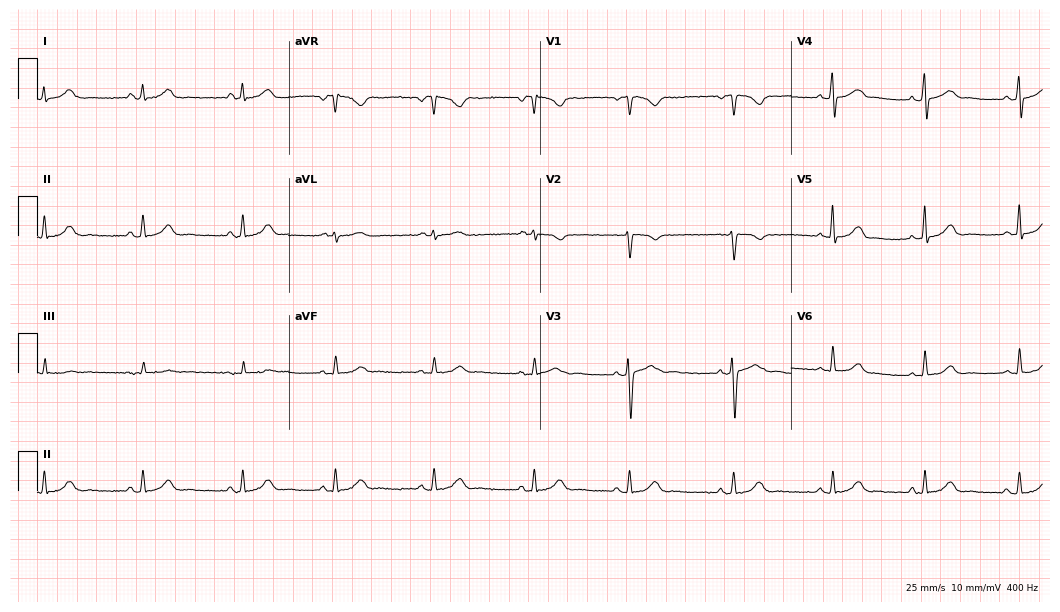
Resting 12-lead electrocardiogram. Patient: a 31-year-old female. Read as a normal ECG.